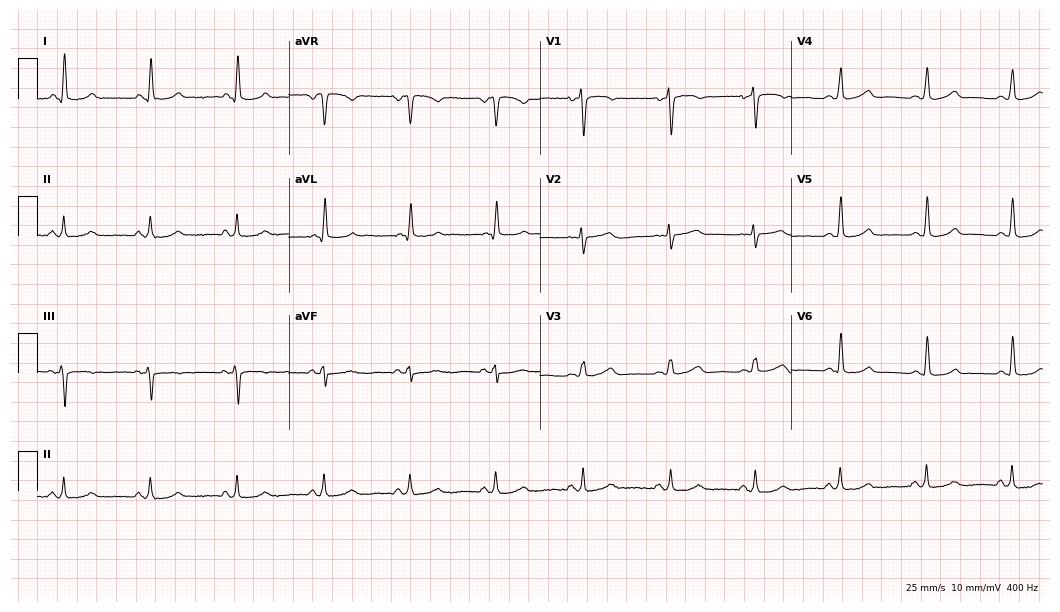
12-lead ECG from a 74-year-old female patient (10.2-second recording at 400 Hz). Recorded interpretation: within normal limits.